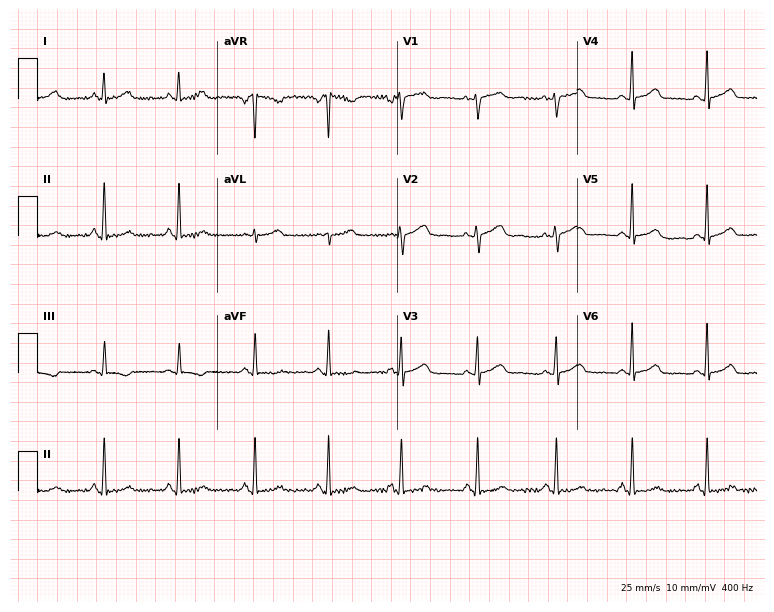
12-lead ECG from a female, 45 years old. Screened for six findings — first-degree AV block, right bundle branch block (RBBB), left bundle branch block (LBBB), sinus bradycardia, atrial fibrillation (AF), sinus tachycardia — none is recorded.